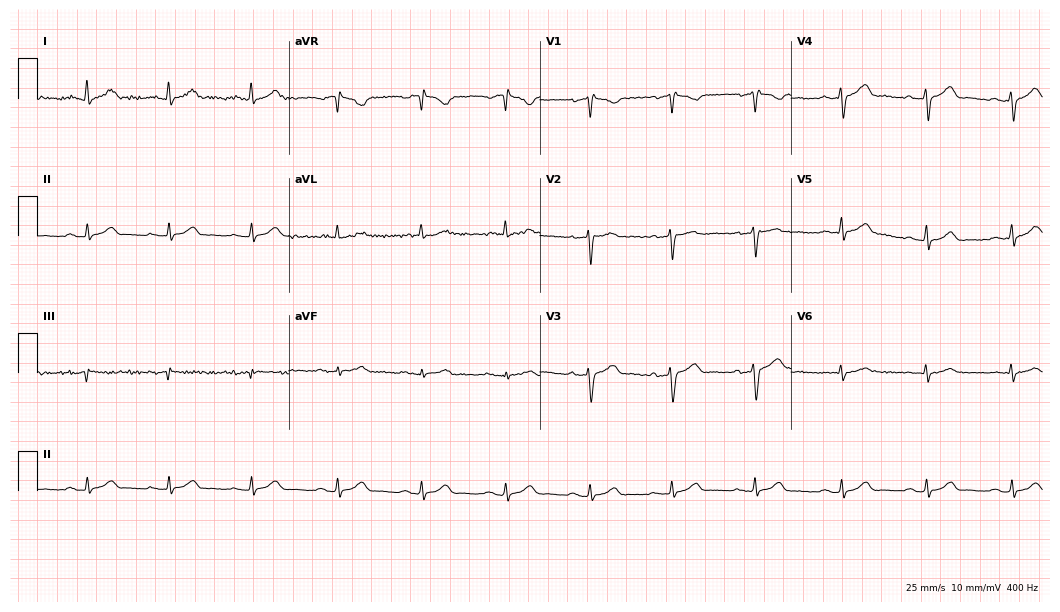
12-lead ECG from a 55-year-old male. Labelled as a normal ECG.